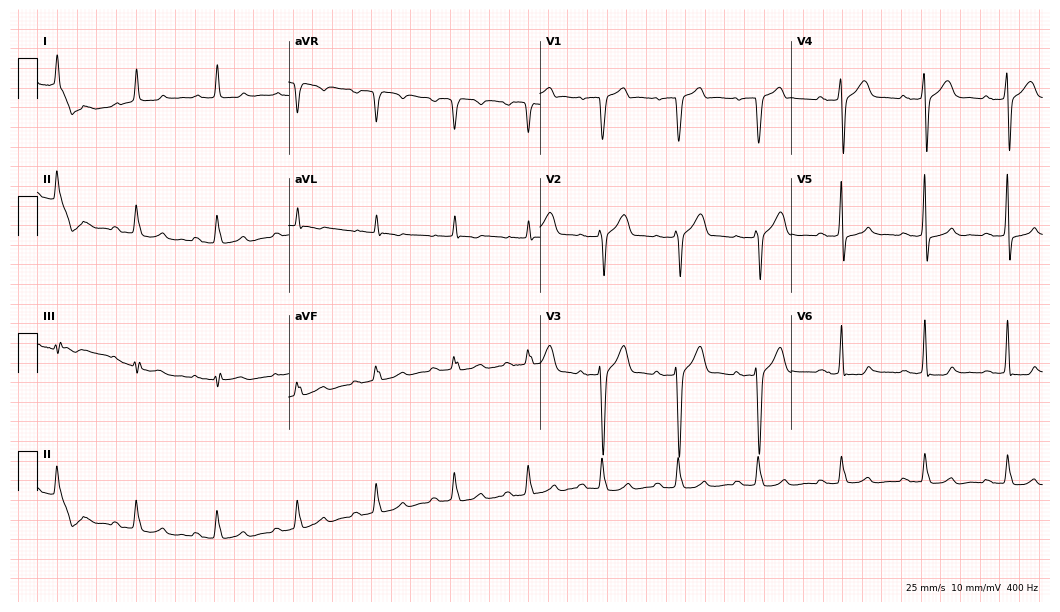
12-lead ECG (10.2-second recording at 400 Hz) from a 59-year-old male. Labelled as a normal ECG.